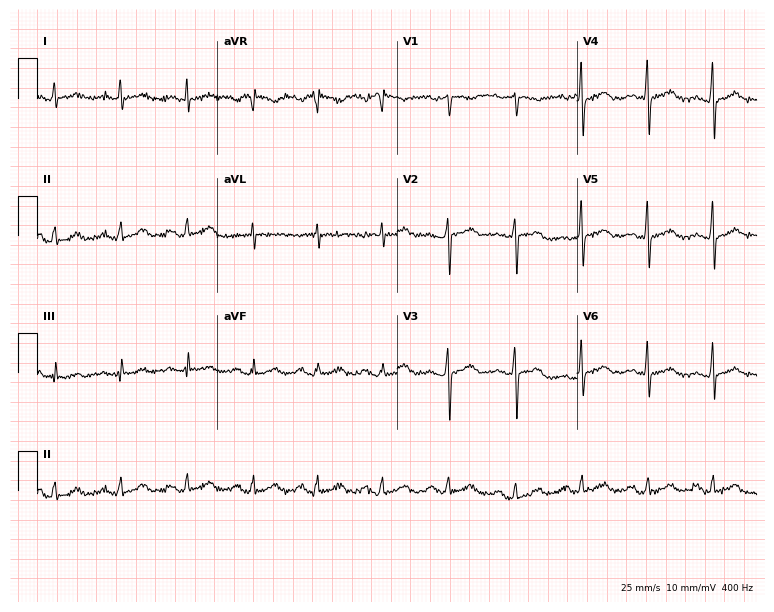
12-lead ECG (7.3-second recording at 400 Hz) from a 46-year-old female patient. Labelled as a normal ECG.